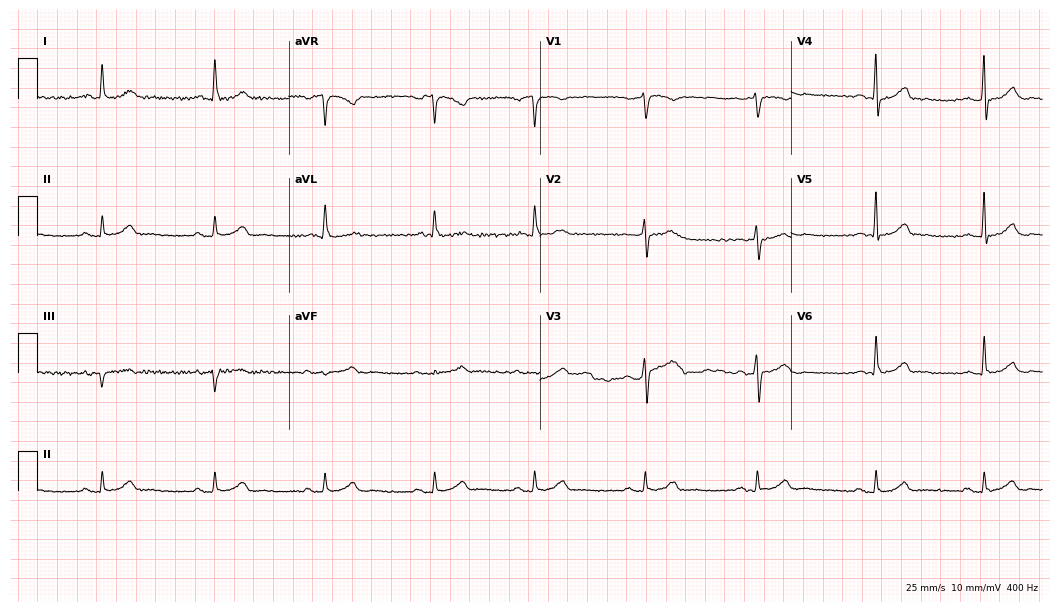
Electrocardiogram (10.2-second recording at 400 Hz), a female patient, 58 years old. Overall reading on record: normal ECG.